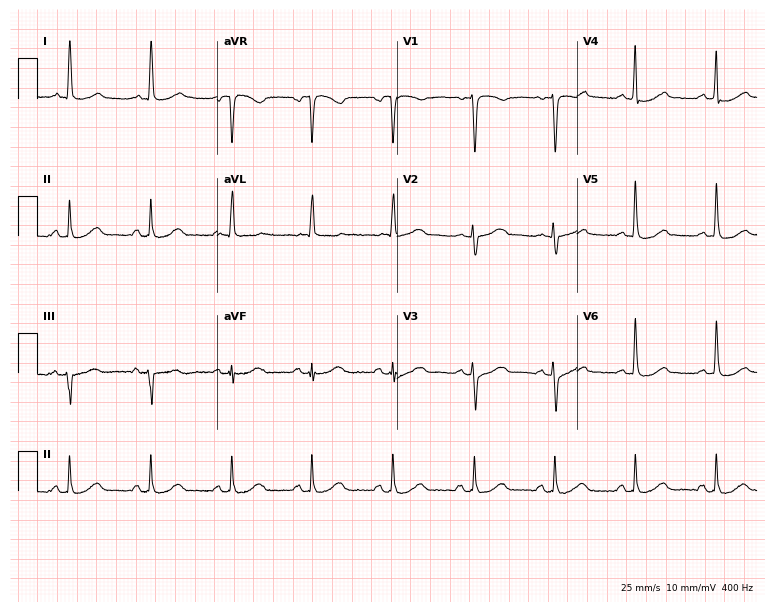
Standard 12-lead ECG recorded from a female, 77 years old (7.3-second recording at 400 Hz). None of these six findings is recorded: first-degree AV block, right bundle branch block (RBBB), left bundle branch block (LBBB), sinus bradycardia, atrial fibrillation (AF), sinus tachycardia.